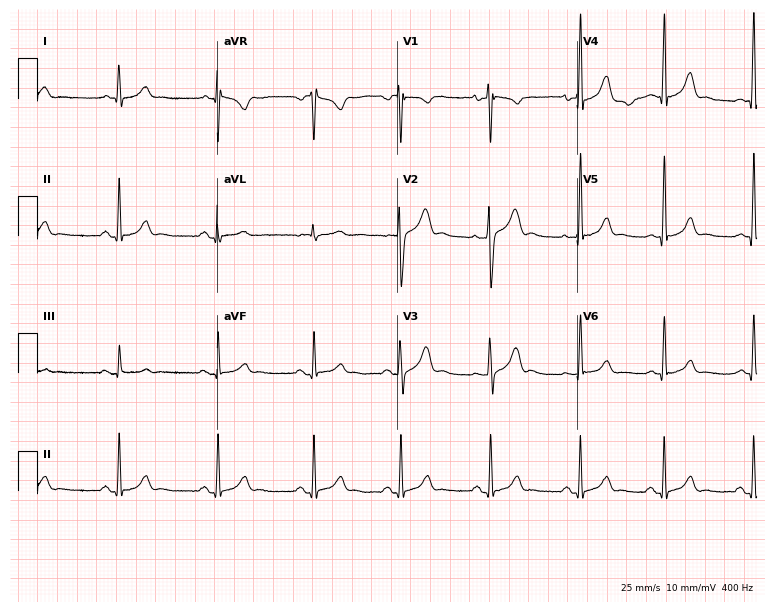
Standard 12-lead ECG recorded from a male patient, 31 years old (7.3-second recording at 400 Hz). None of these six findings is recorded: first-degree AV block, right bundle branch block, left bundle branch block, sinus bradycardia, atrial fibrillation, sinus tachycardia.